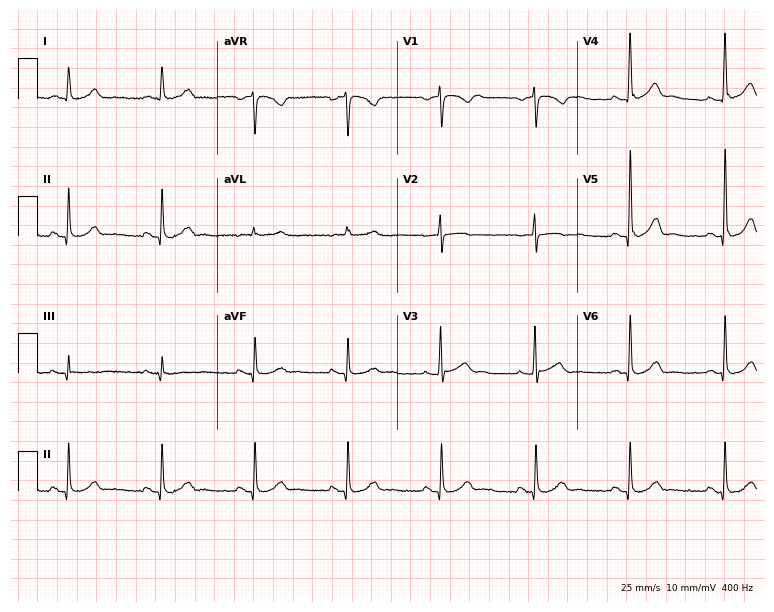
ECG (7.3-second recording at 400 Hz) — a male patient, 65 years old. Screened for six findings — first-degree AV block, right bundle branch block (RBBB), left bundle branch block (LBBB), sinus bradycardia, atrial fibrillation (AF), sinus tachycardia — none is recorded.